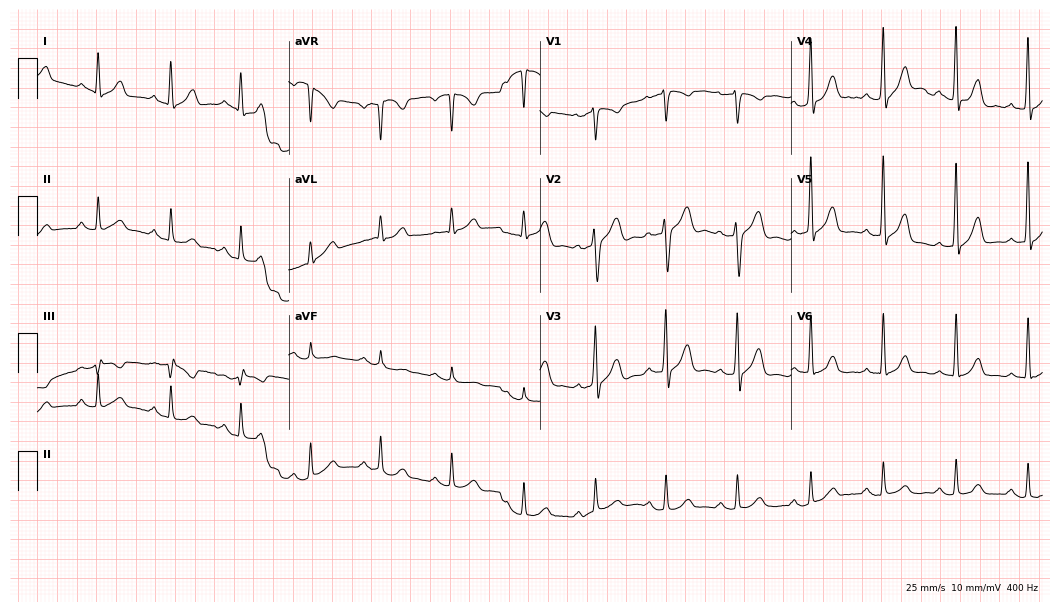
12-lead ECG from a 41-year-old man. Recorded interpretation: within normal limits.